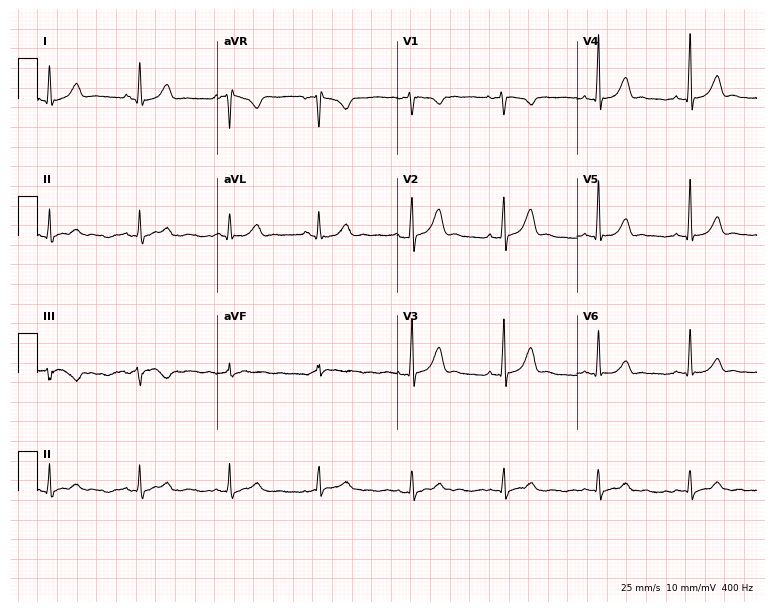
Standard 12-lead ECG recorded from a female, 38 years old. Read as a normal ECG.